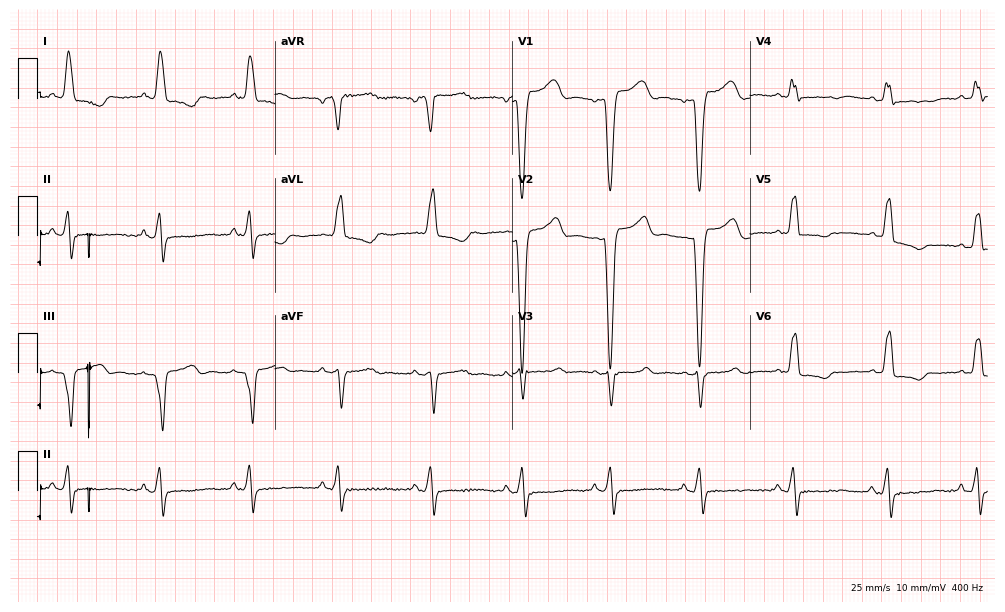
12-lead ECG from a 73-year-old female. Screened for six findings — first-degree AV block, right bundle branch block (RBBB), left bundle branch block (LBBB), sinus bradycardia, atrial fibrillation (AF), sinus tachycardia — none is recorded. Other findings, if any, are not listed.